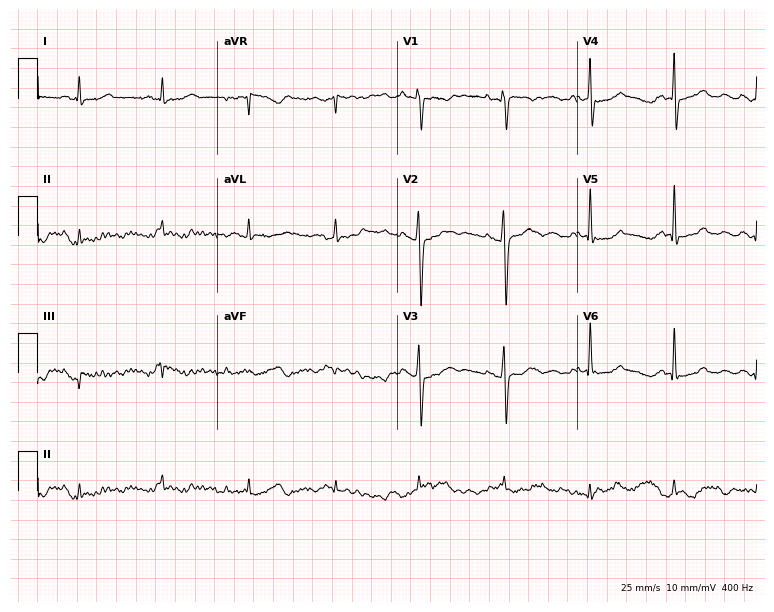
12-lead ECG from a woman, 55 years old. Labelled as a normal ECG.